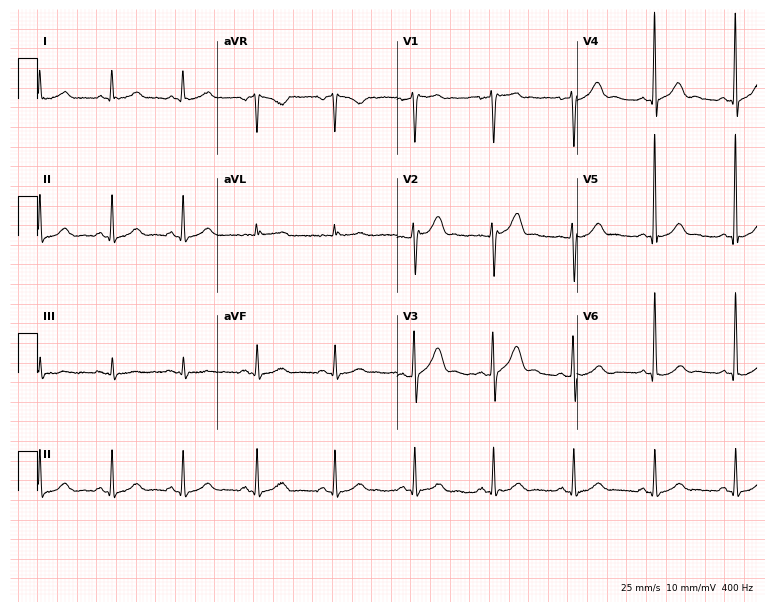
12-lead ECG from a man, 58 years old (7.3-second recording at 400 Hz). Recorded interpretation: within normal limits.